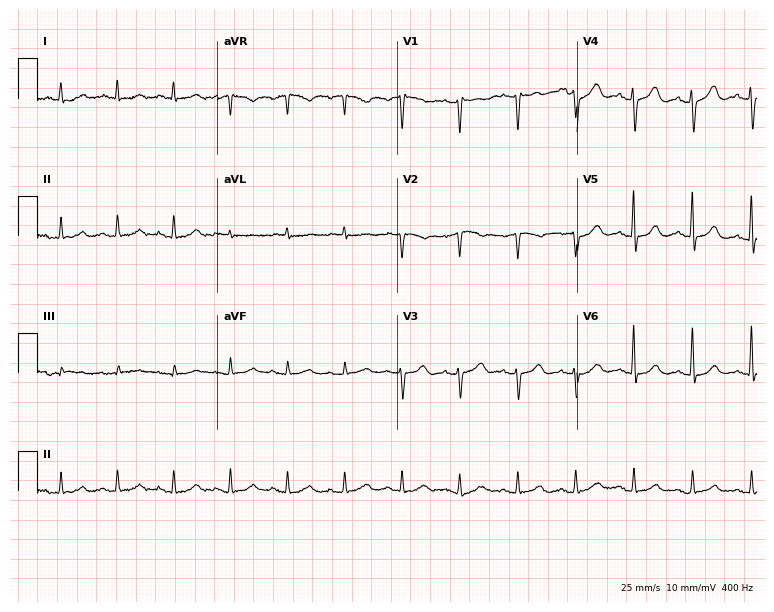
12-lead ECG from a male patient, 69 years old. No first-degree AV block, right bundle branch block, left bundle branch block, sinus bradycardia, atrial fibrillation or sinus tachycardia recorded for this tracing.